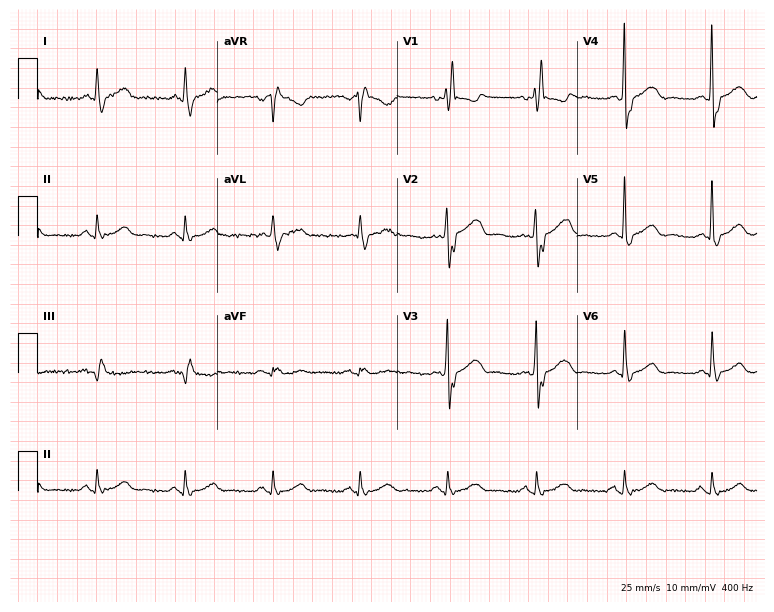
ECG — a man, 71 years old. Screened for six findings — first-degree AV block, right bundle branch block, left bundle branch block, sinus bradycardia, atrial fibrillation, sinus tachycardia — none is recorded.